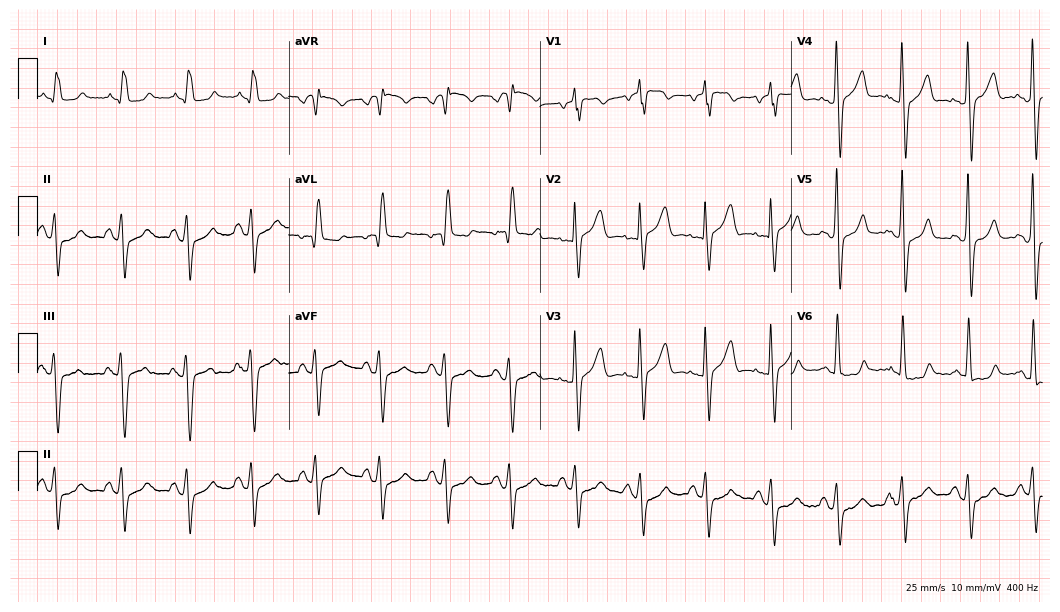
12-lead ECG from a 50-year-old male. Screened for six findings — first-degree AV block, right bundle branch block, left bundle branch block, sinus bradycardia, atrial fibrillation, sinus tachycardia — none is recorded.